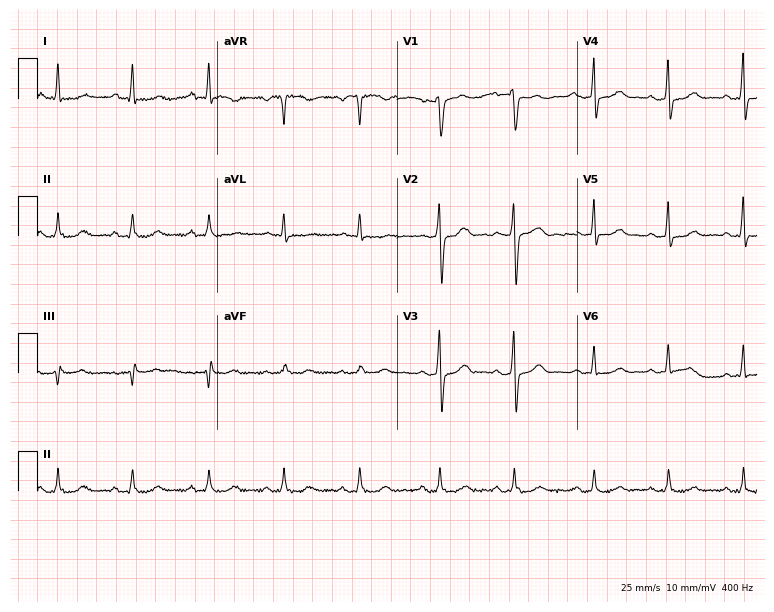
Standard 12-lead ECG recorded from a female, 71 years old. Read as a normal ECG.